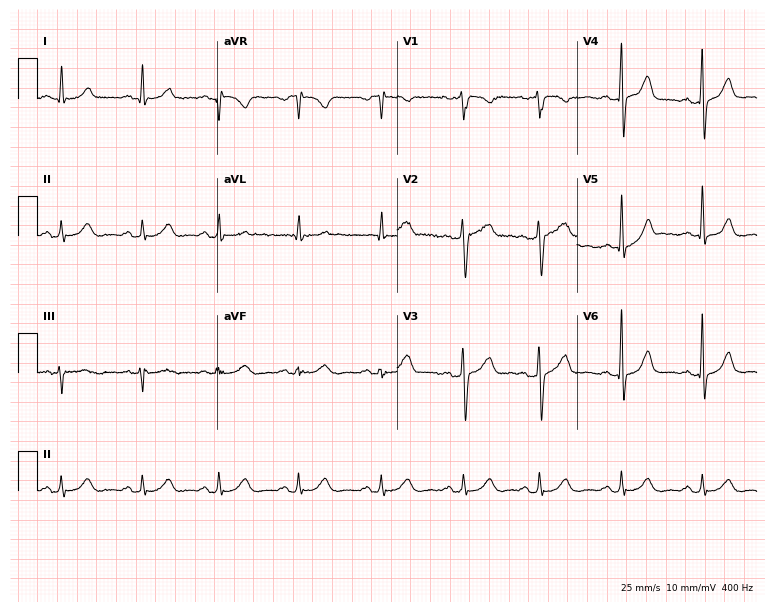
12-lead ECG (7.3-second recording at 400 Hz) from a woman, 44 years old. Labelled as a normal ECG.